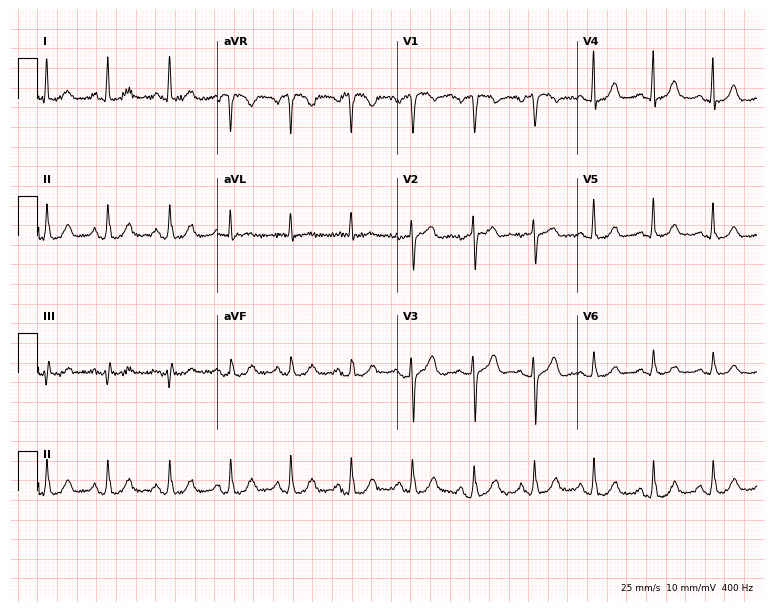
12-lead ECG from a 60-year-old woman. Screened for six findings — first-degree AV block, right bundle branch block, left bundle branch block, sinus bradycardia, atrial fibrillation, sinus tachycardia — none is recorded.